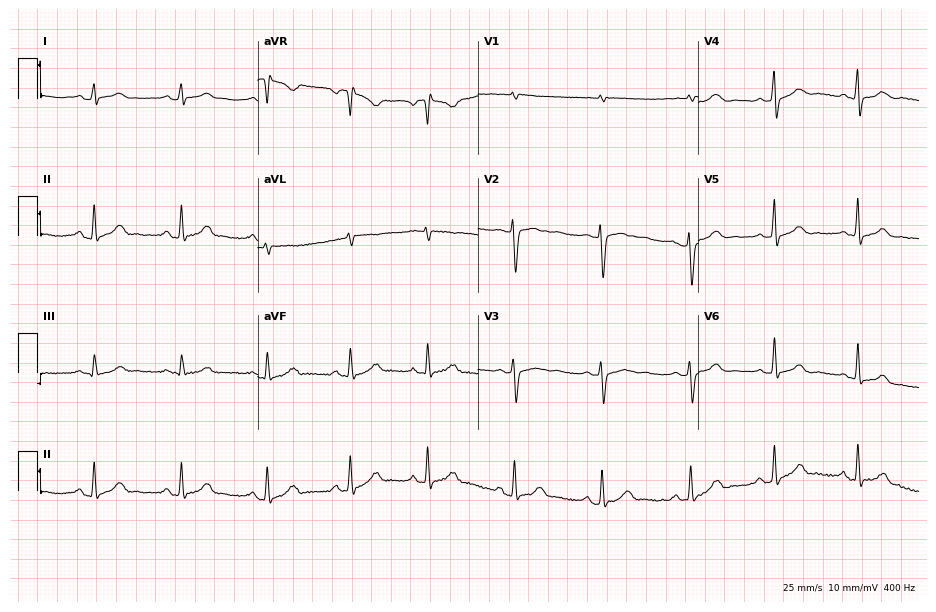
ECG (9-second recording at 400 Hz) — a female, 29 years old. Labelled as a normal ECG.